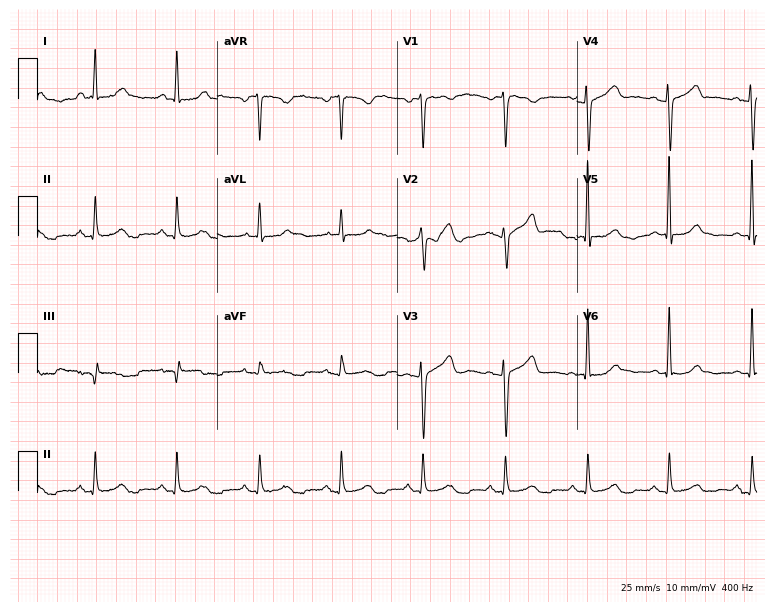
Standard 12-lead ECG recorded from a 46-year-old woman (7.3-second recording at 400 Hz). Read as a normal ECG.